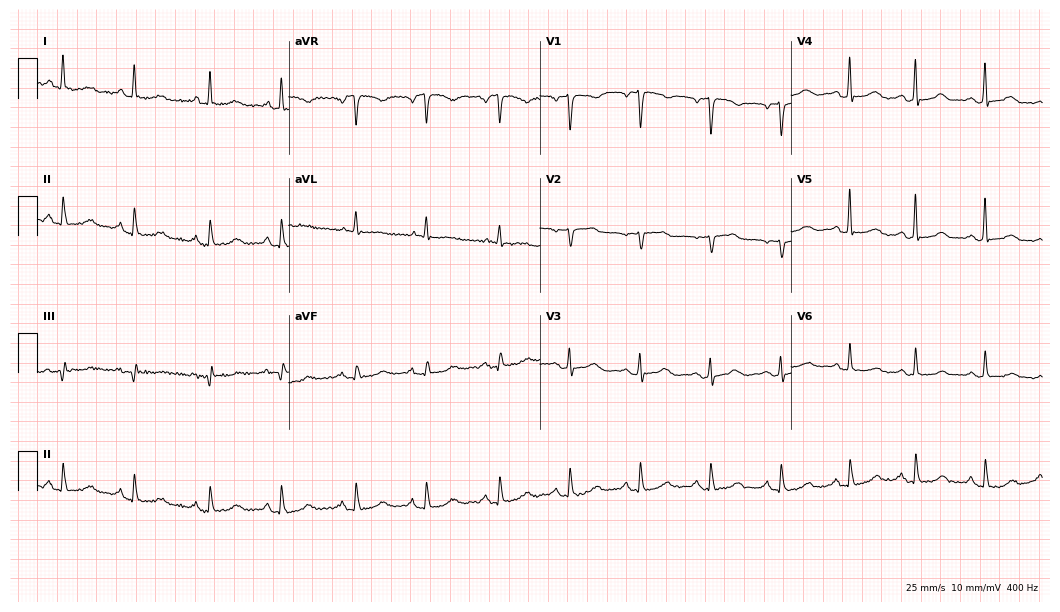
Standard 12-lead ECG recorded from a 64-year-old female patient (10.2-second recording at 400 Hz). Read as a normal ECG.